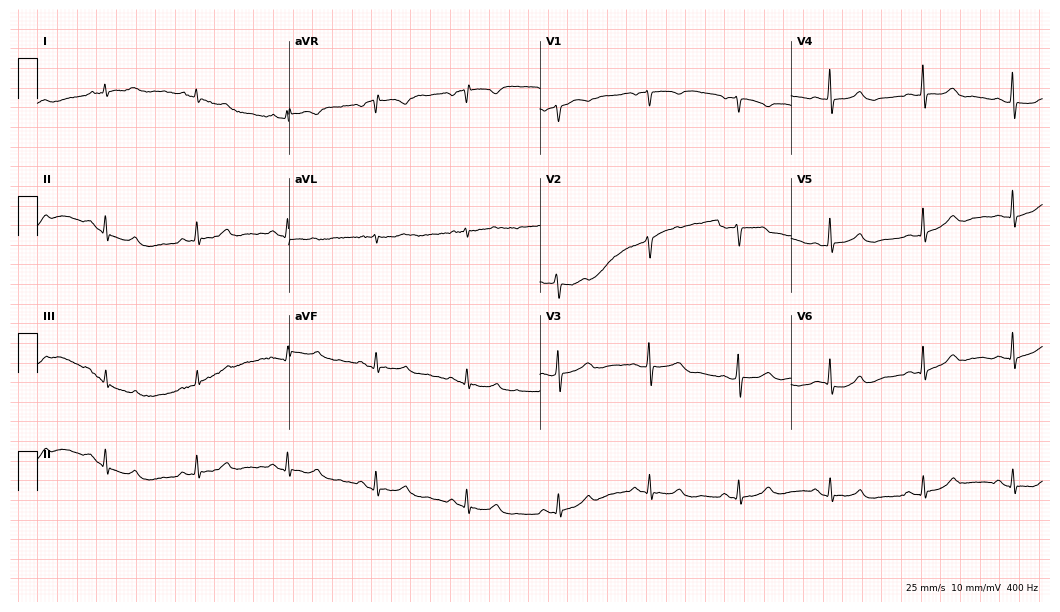
12-lead ECG (10.2-second recording at 400 Hz) from a female, 49 years old. Labelled as a normal ECG.